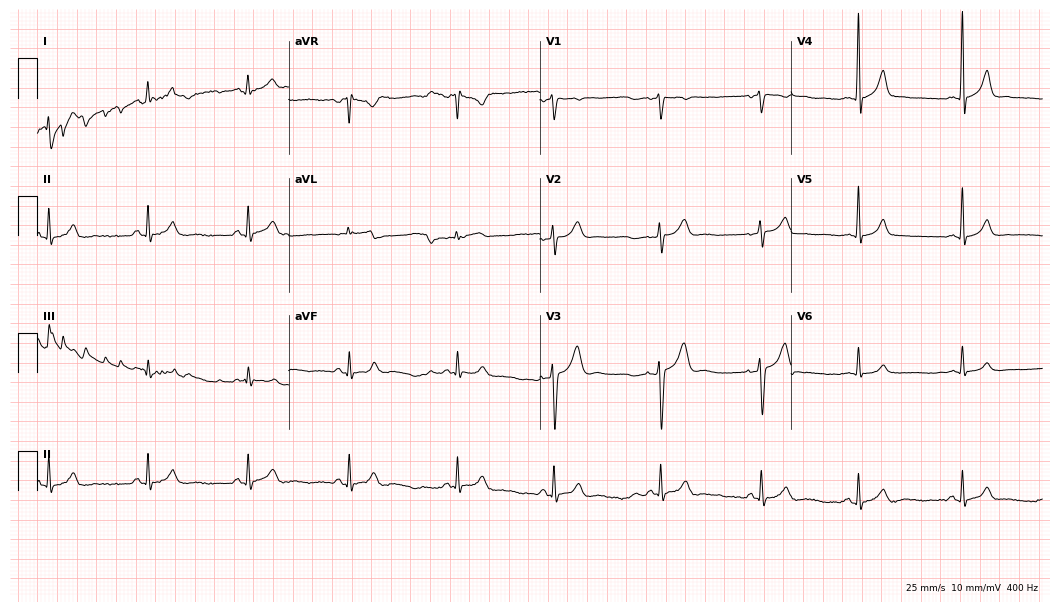
12-lead ECG from a 23-year-old man. Recorded interpretation: within normal limits.